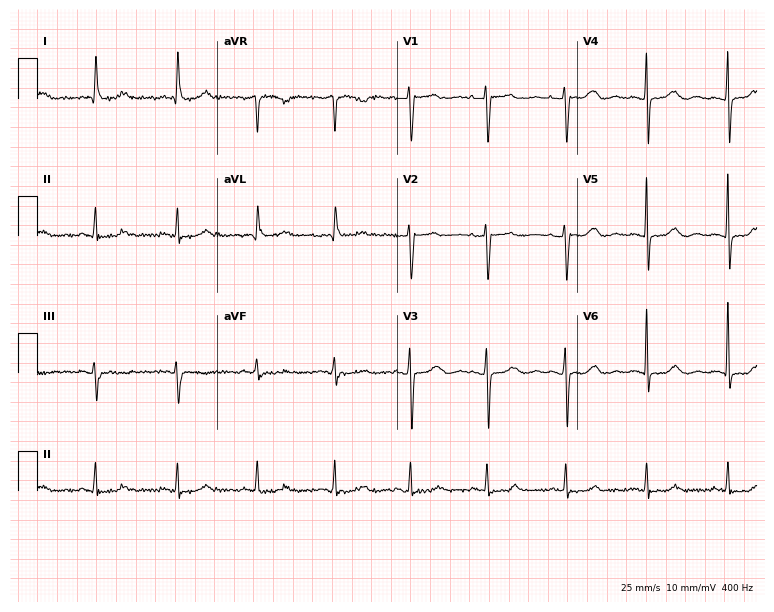
Resting 12-lead electrocardiogram (7.3-second recording at 400 Hz). Patient: a female, 76 years old. None of these six findings is recorded: first-degree AV block, right bundle branch block (RBBB), left bundle branch block (LBBB), sinus bradycardia, atrial fibrillation (AF), sinus tachycardia.